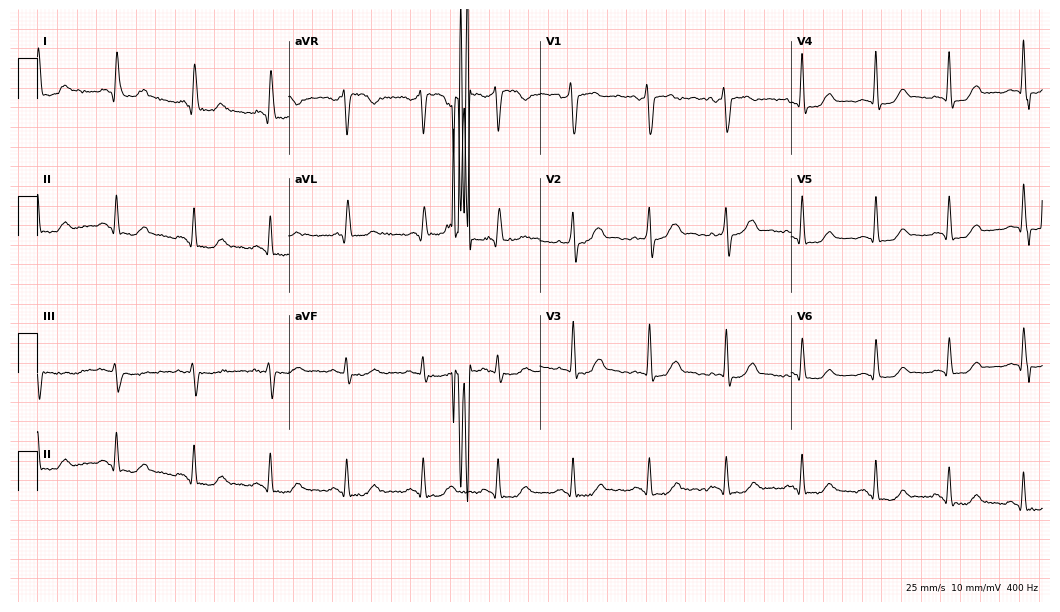
ECG — a female patient, 55 years old. Screened for six findings — first-degree AV block, right bundle branch block (RBBB), left bundle branch block (LBBB), sinus bradycardia, atrial fibrillation (AF), sinus tachycardia — none is recorded.